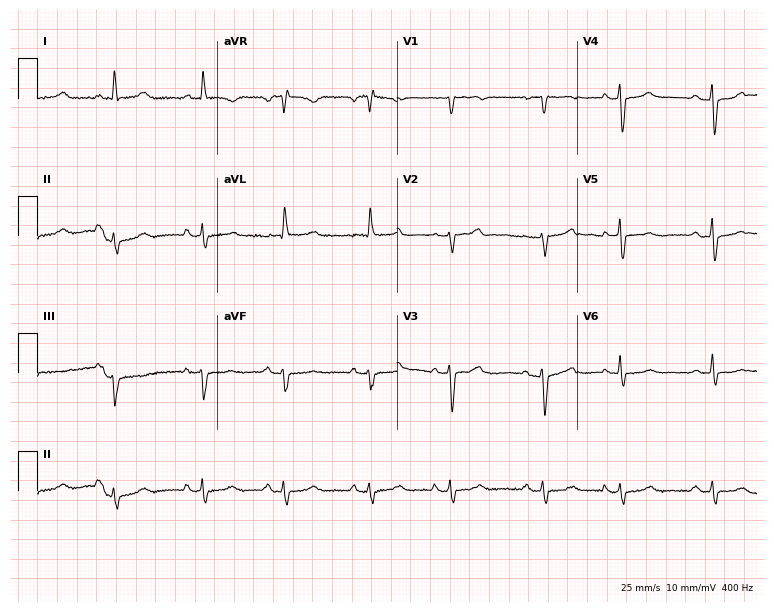
Resting 12-lead electrocardiogram. Patient: a female, 71 years old. None of these six findings is recorded: first-degree AV block, right bundle branch block, left bundle branch block, sinus bradycardia, atrial fibrillation, sinus tachycardia. Findings outside these six are not listed.